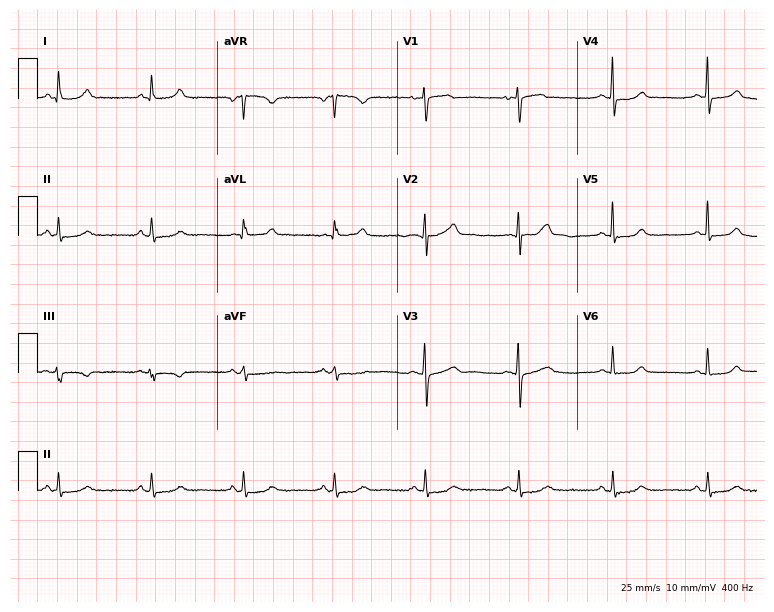
12-lead ECG from a 56-year-old woman. Recorded interpretation: within normal limits.